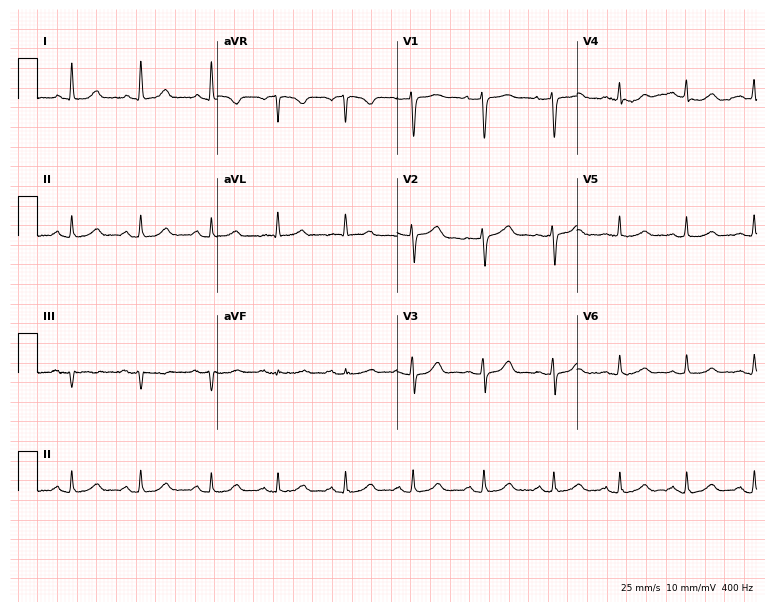
ECG (7.3-second recording at 400 Hz) — a 64-year-old woman. Labelled as a normal ECG.